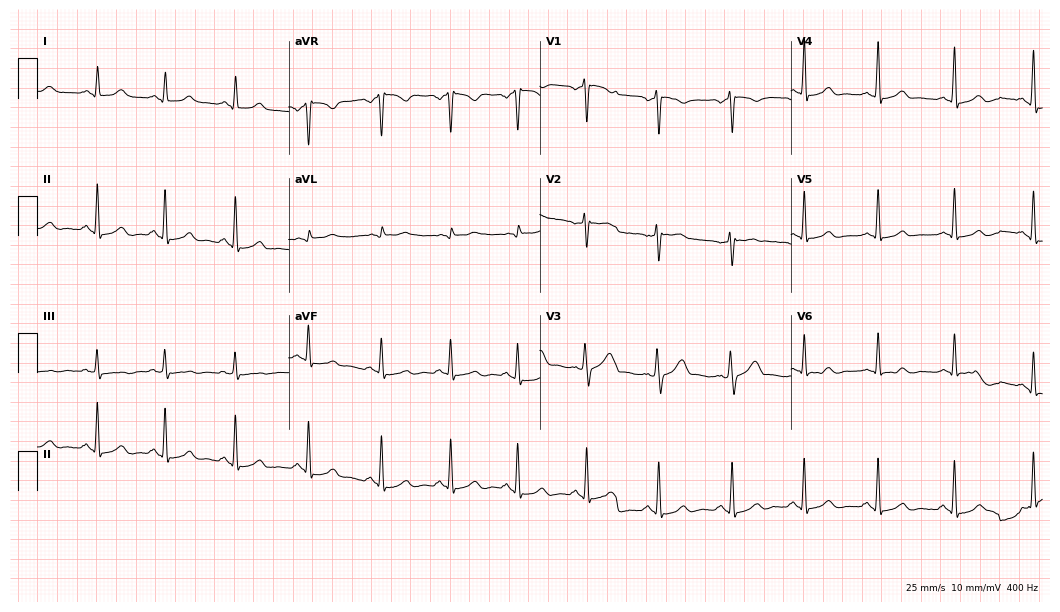
ECG — a male patient, 32 years old. Labelled as a normal ECG.